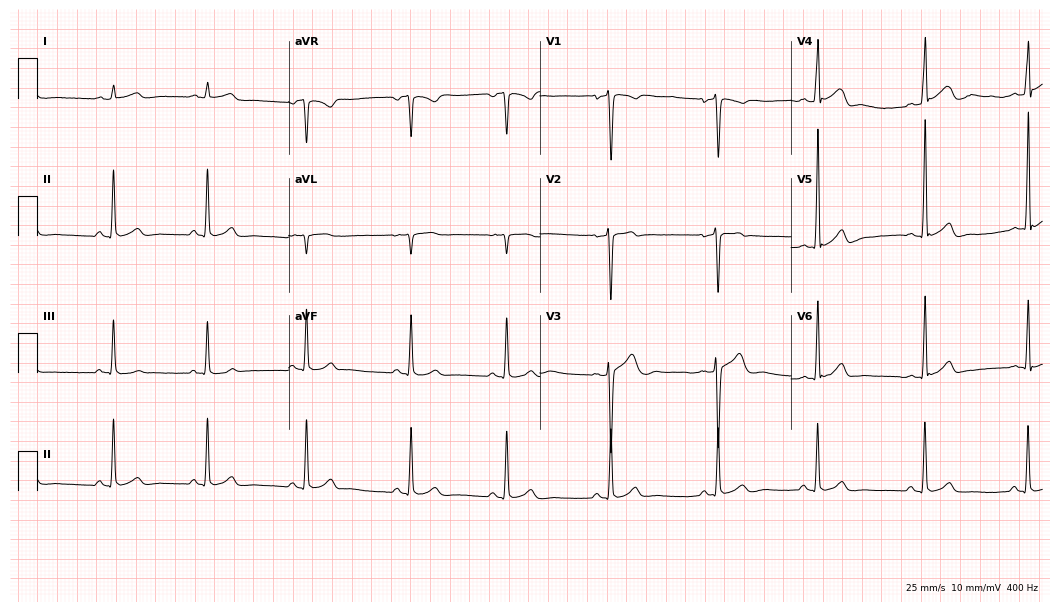
Resting 12-lead electrocardiogram (10.2-second recording at 400 Hz). Patient: a male, 25 years old. Read as a normal ECG.